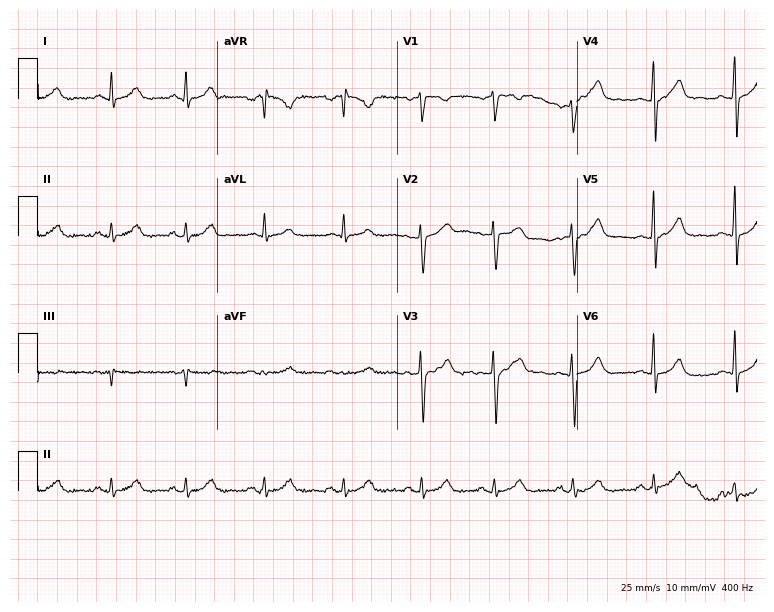
Resting 12-lead electrocardiogram (7.3-second recording at 400 Hz). Patient: a 47-year-old male. Read as a normal ECG.